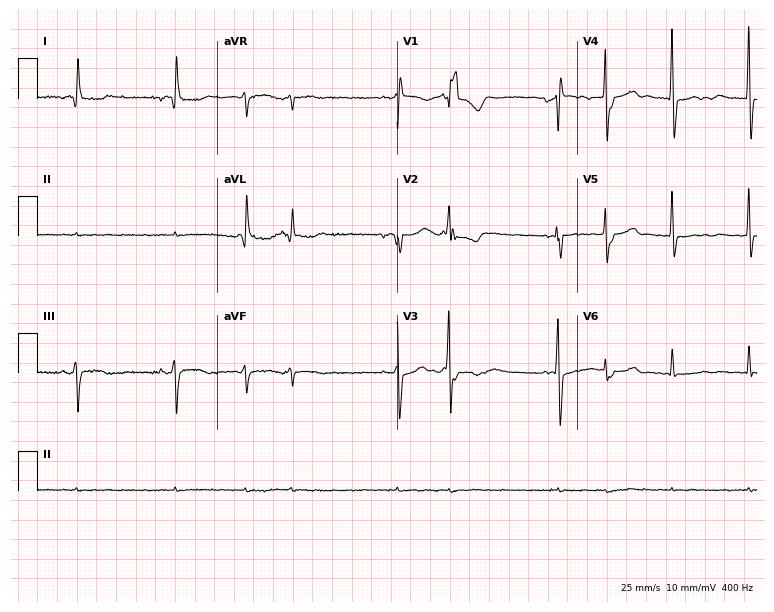
12-lead ECG from a female, 78 years old (7.3-second recording at 400 Hz). Shows atrial fibrillation (AF).